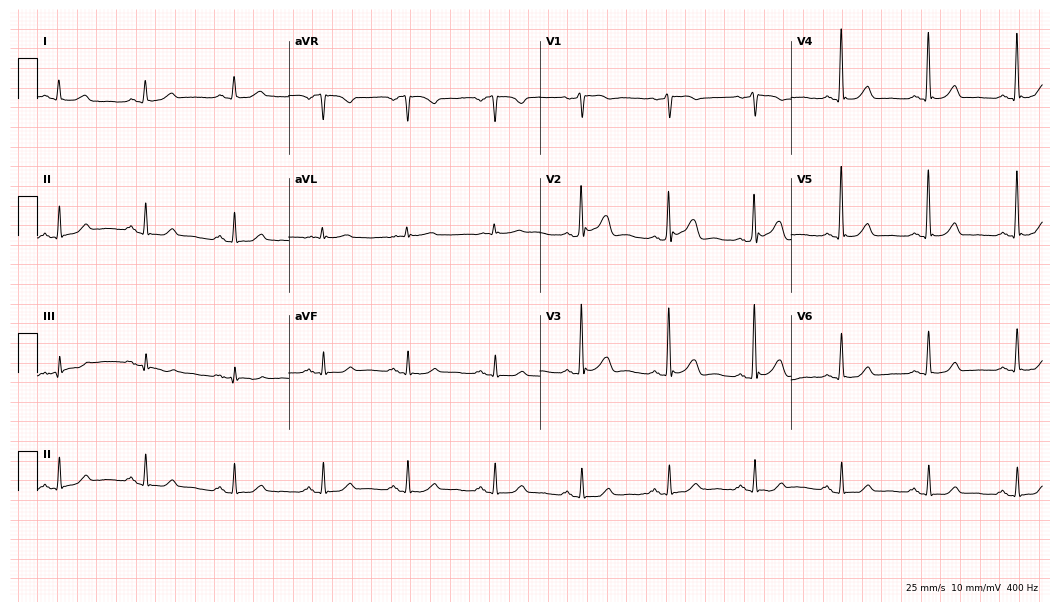
12-lead ECG from a woman, 54 years old. Recorded interpretation: within normal limits.